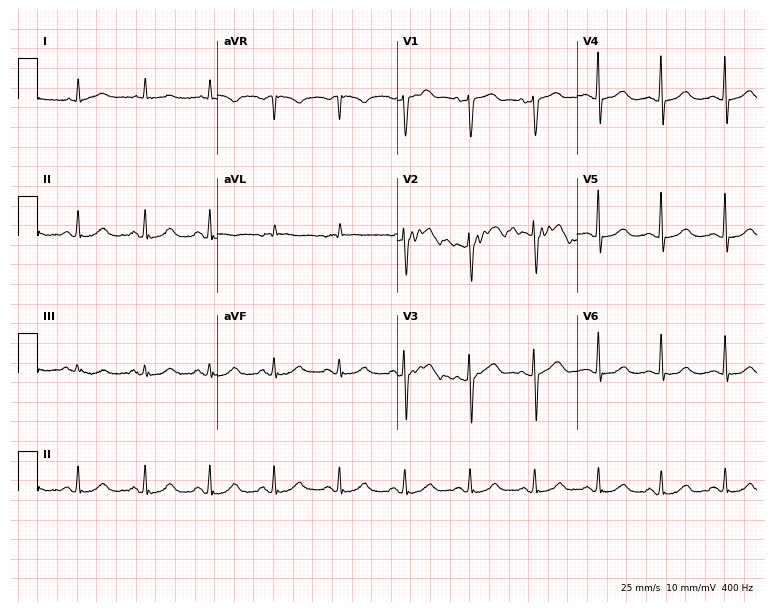
Resting 12-lead electrocardiogram (7.3-second recording at 400 Hz). Patient: a male, 67 years old. Read as a normal ECG.